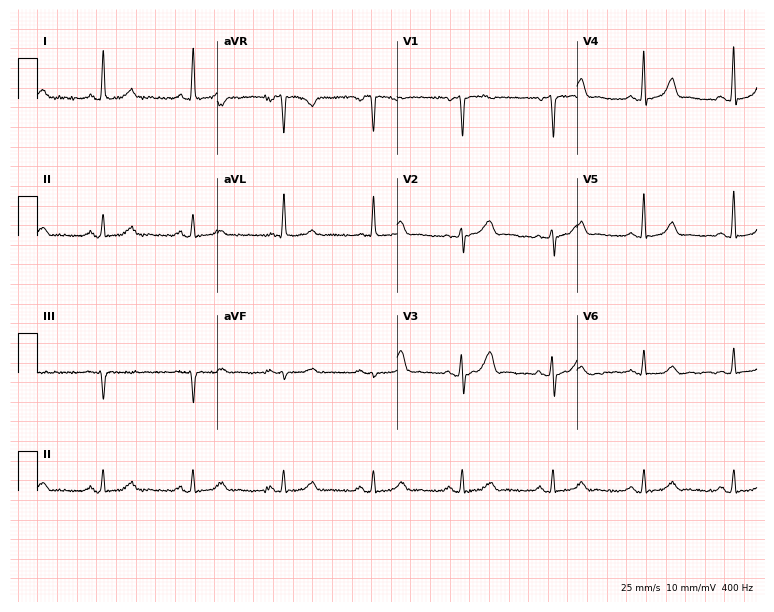
Electrocardiogram, a 46-year-old woman. Overall reading on record: normal ECG.